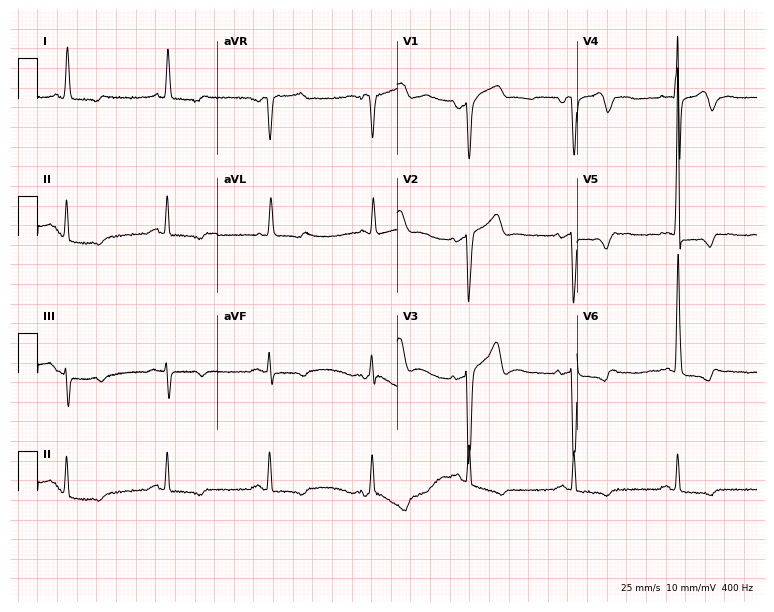
Resting 12-lead electrocardiogram. Patient: a male, 68 years old. None of these six findings is recorded: first-degree AV block, right bundle branch block, left bundle branch block, sinus bradycardia, atrial fibrillation, sinus tachycardia. Only these six findings were labelled.